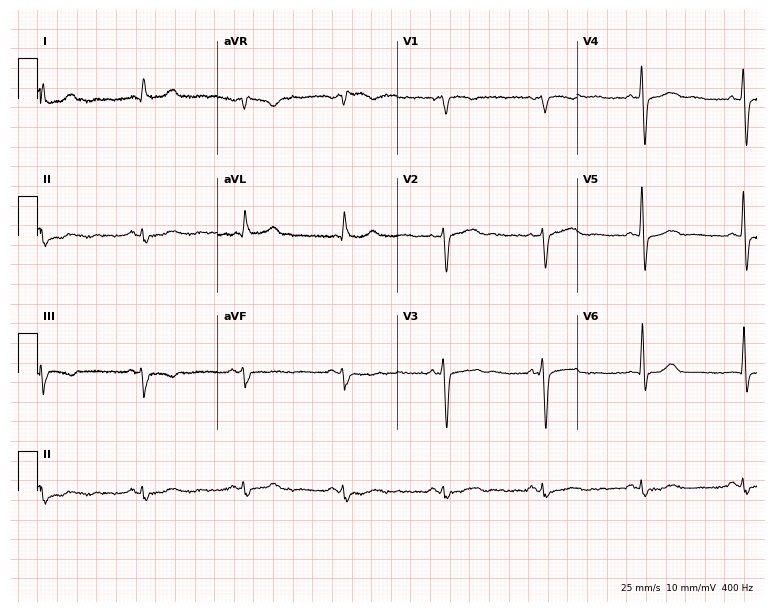
Resting 12-lead electrocardiogram. Patient: a 67-year-old male. None of these six findings is recorded: first-degree AV block, right bundle branch block, left bundle branch block, sinus bradycardia, atrial fibrillation, sinus tachycardia. Findings outside these six are not listed.